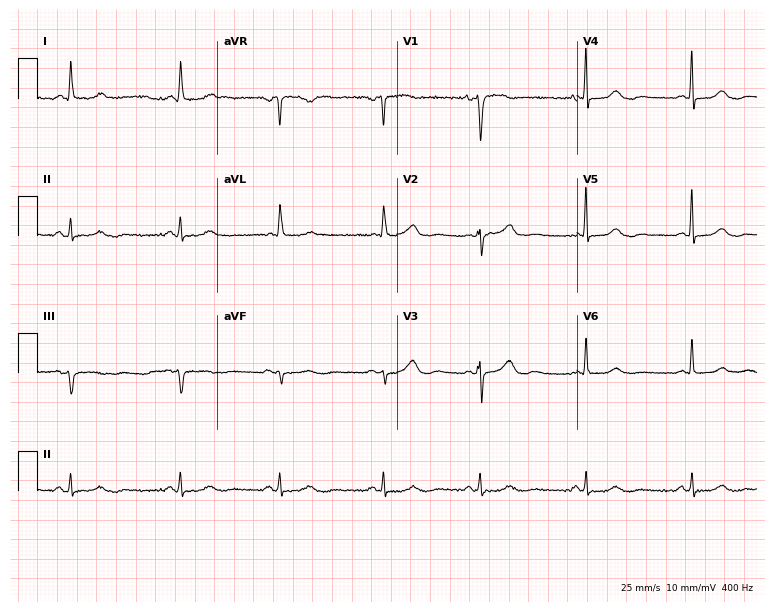
Resting 12-lead electrocardiogram. Patient: a woman, 83 years old. Read as a normal ECG.